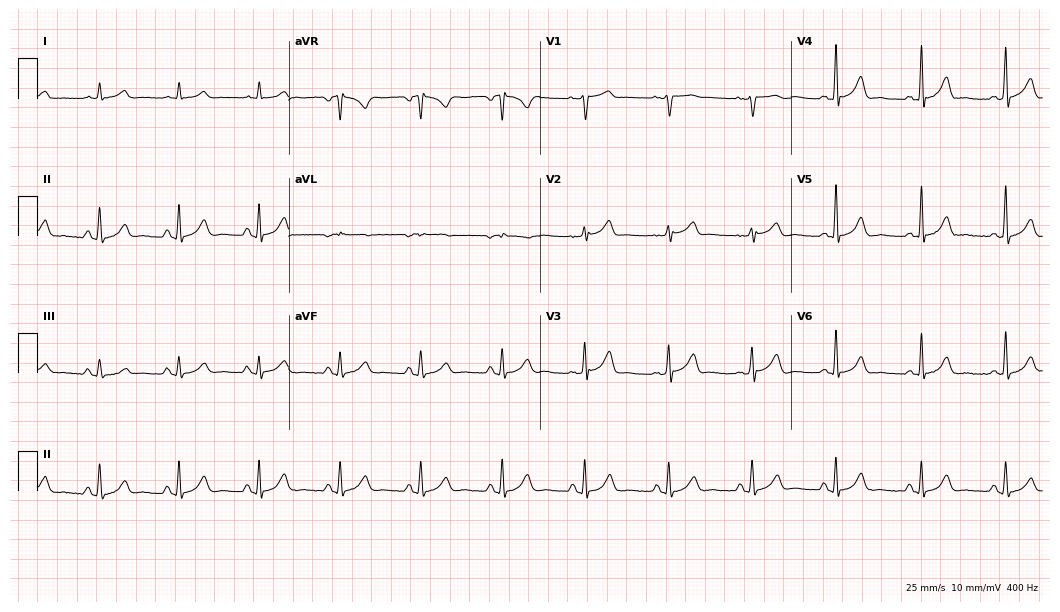
Standard 12-lead ECG recorded from a 61-year-old male patient (10.2-second recording at 400 Hz). None of these six findings is recorded: first-degree AV block, right bundle branch block, left bundle branch block, sinus bradycardia, atrial fibrillation, sinus tachycardia.